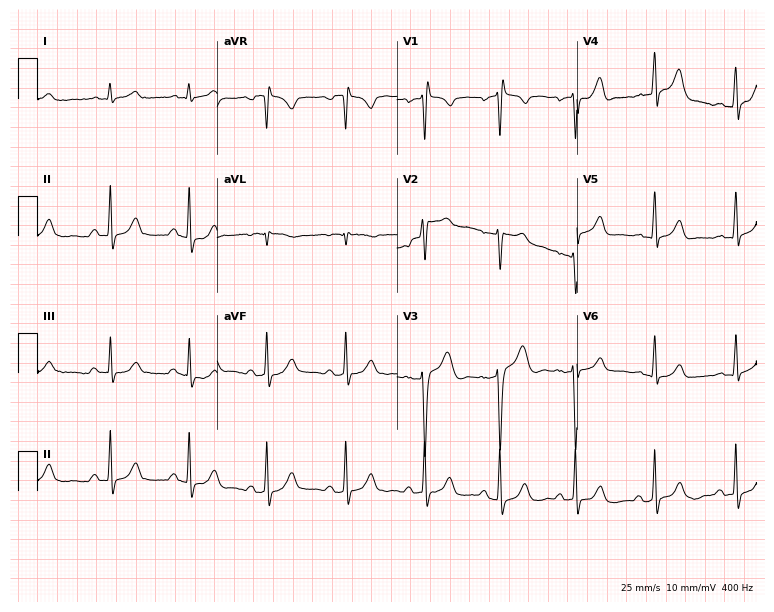
12-lead ECG (7.3-second recording at 400 Hz) from a male patient, 27 years old. Screened for six findings — first-degree AV block, right bundle branch block, left bundle branch block, sinus bradycardia, atrial fibrillation, sinus tachycardia — none is recorded.